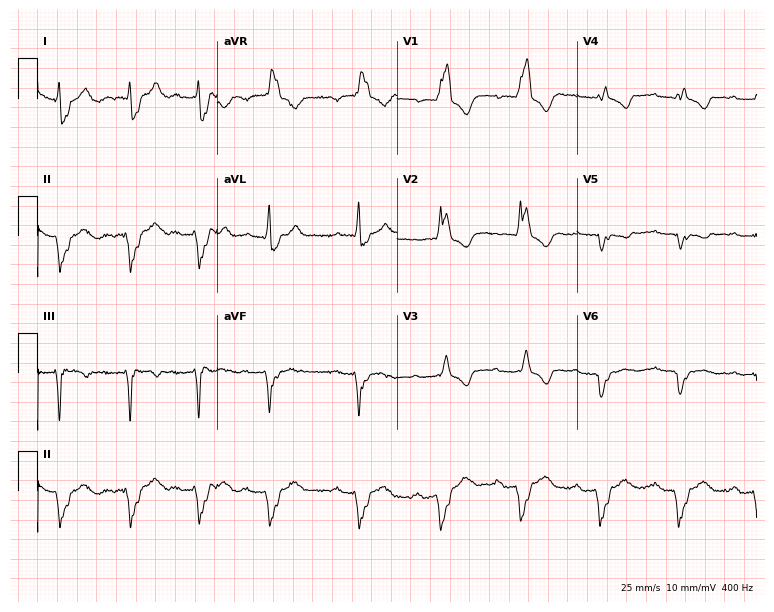
Resting 12-lead electrocardiogram. Patient: a female, 74 years old. The tracing shows first-degree AV block, right bundle branch block, left bundle branch block.